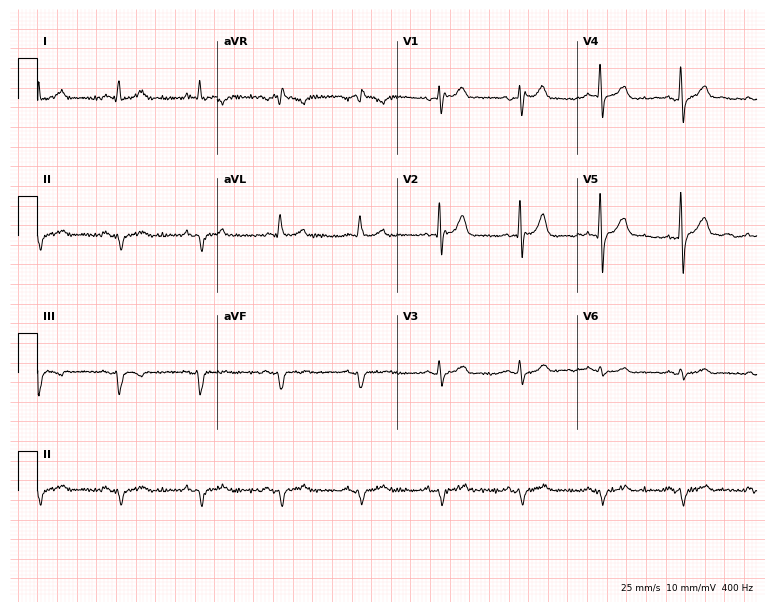
12-lead ECG from a male patient, 61 years old. Screened for six findings — first-degree AV block, right bundle branch block, left bundle branch block, sinus bradycardia, atrial fibrillation, sinus tachycardia — none is recorded.